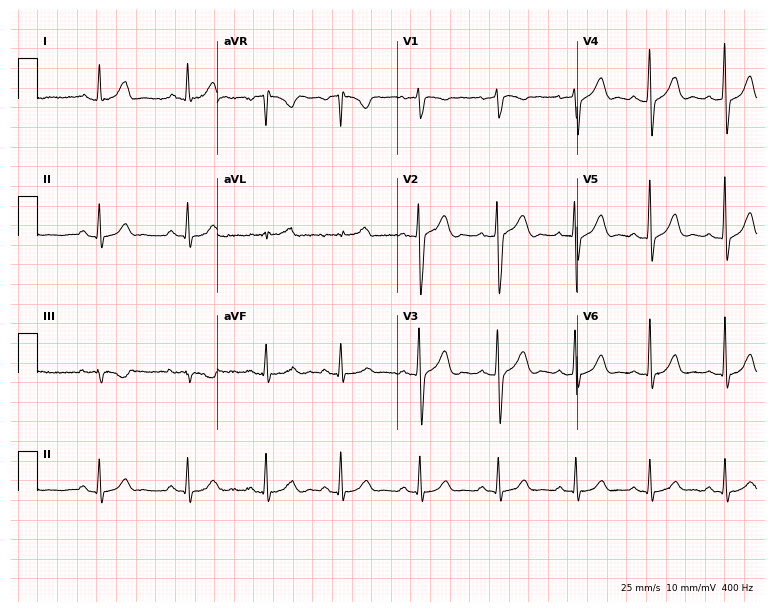
Standard 12-lead ECG recorded from a 30-year-old male. Read as a normal ECG.